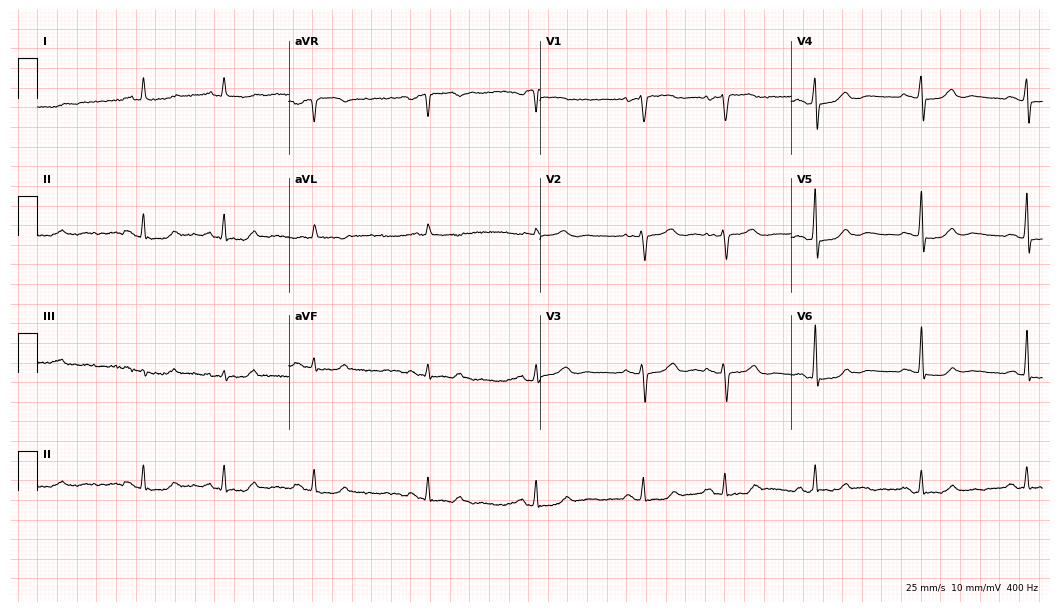
Standard 12-lead ECG recorded from a 60-year-old female (10.2-second recording at 400 Hz). None of these six findings is recorded: first-degree AV block, right bundle branch block (RBBB), left bundle branch block (LBBB), sinus bradycardia, atrial fibrillation (AF), sinus tachycardia. Findings outside these six are not listed.